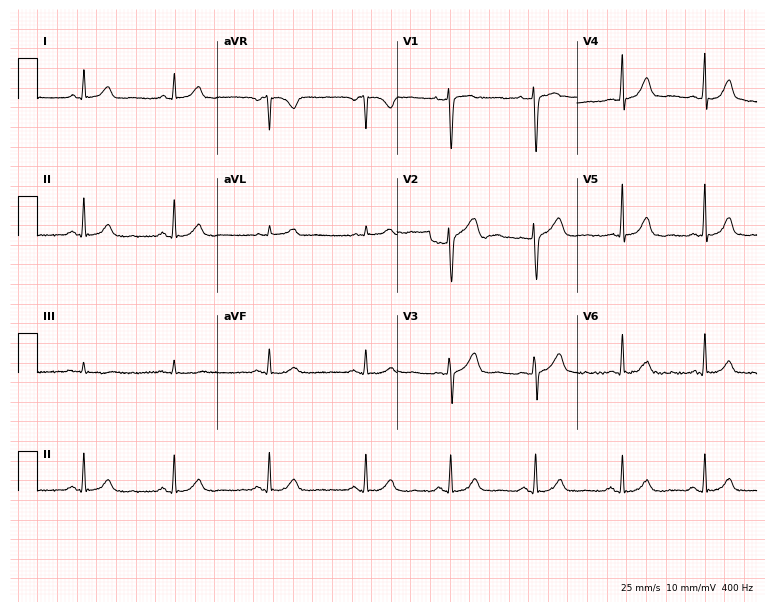
Electrocardiogram (7.3-second recording at 400 Hz), a 38-year-old female. Of the six screened findings (first-degree AV block, right bundle branch block, left bundle branch block, sinus bradycardia, atrial fibrillation, sinus tachycardia), none is recorded.